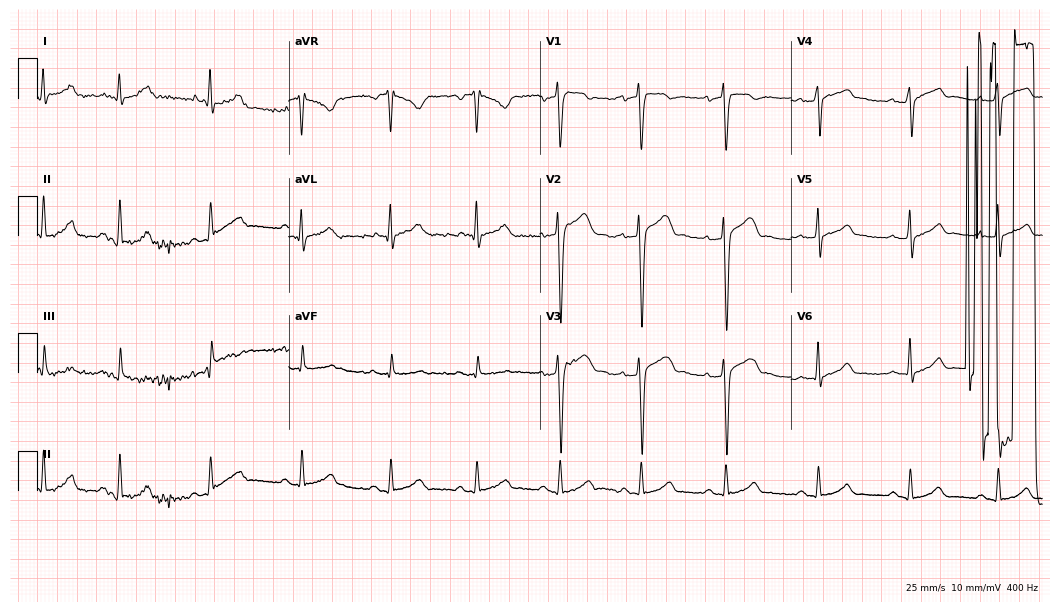
Electrocardiogram, a man, 35 years old. Of the six screened findings (first-degree AV block, right bundle branch block (RBBB), left bundle branch block (LBBB), sinus bradycardia, atrial fibrillation (AF), sinus tachycardia), none is recorded.